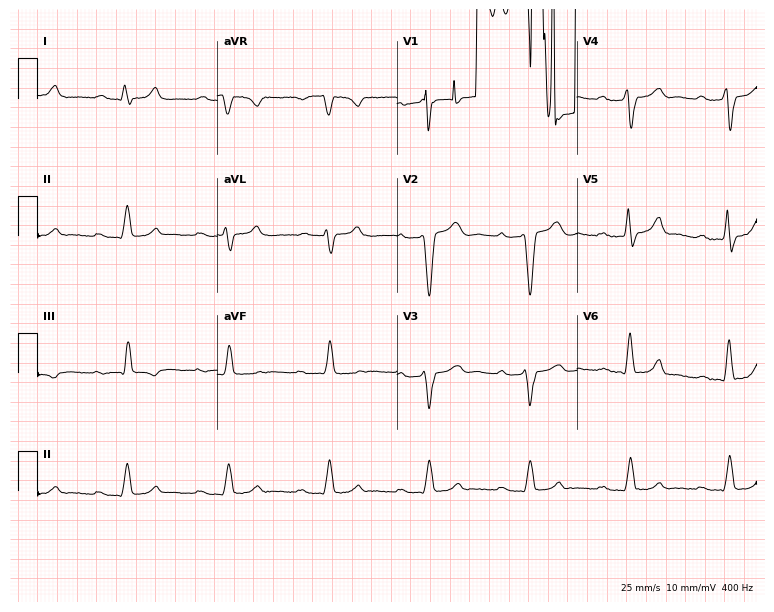
Resting 12-lead electrocardiogram. Patient: an 80-year-old male. The tracing shows first-degree AV block, left bundle branch block.